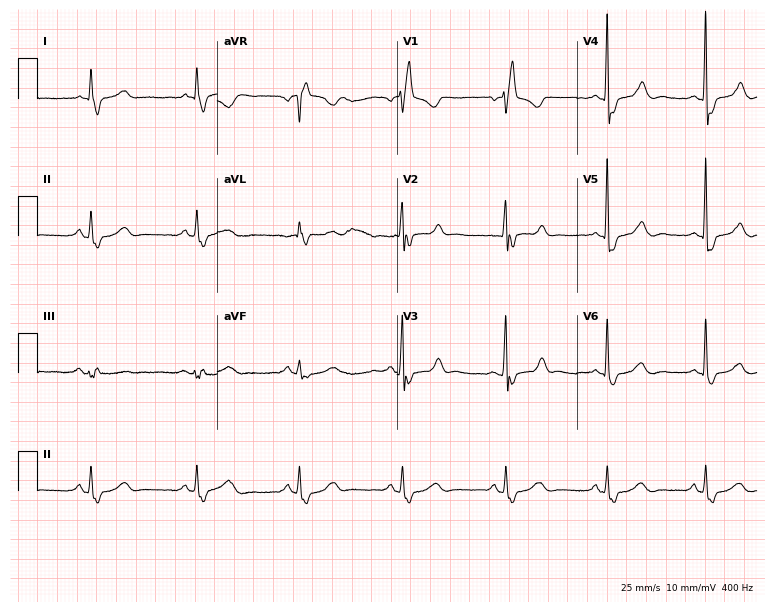
Standard 12-lead ECG recorded from a female patient, 65 years old (7.3-second recording at 400 Hz). The tracing shows right bundle branch block.